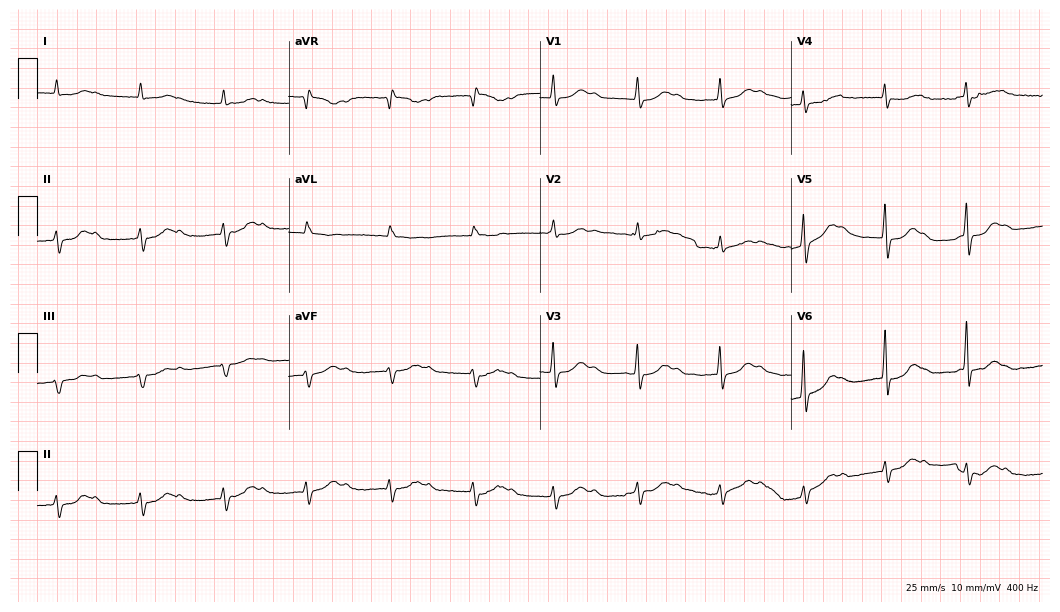
ECG (10.2-second recording at 400 Hz) — a male, 85 years old. Findings include first-degree AV block.